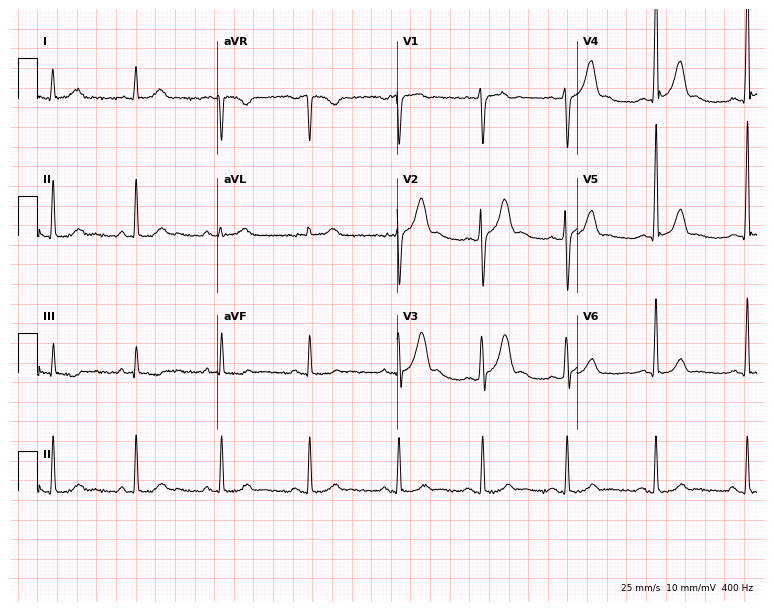
Electrocardiogram, a male patient, 24 years old. Of the six screened findings (first-degree AV block, right bundle branch block, left bundle branch block, sinus bradycardia, atrial fibrillation, sinus tachycardia), none is recorded. Findings outside these six are not listed.